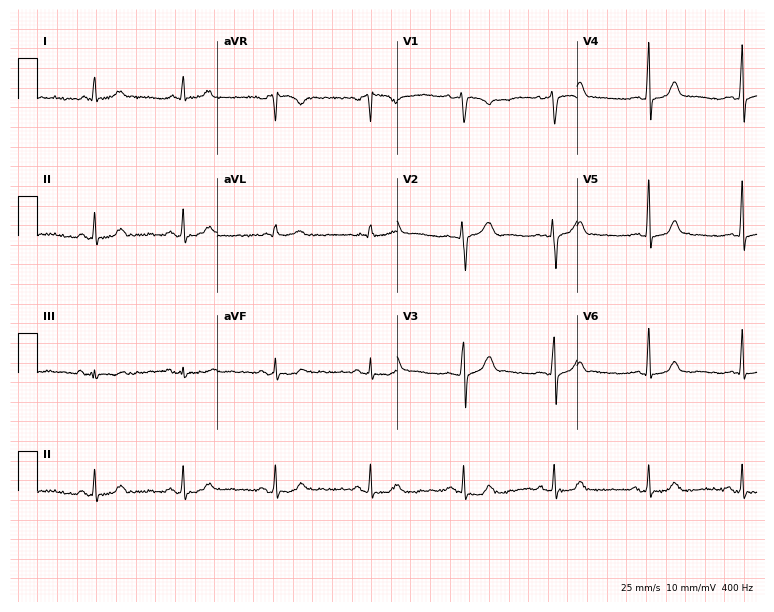
ECG — a female patient, 36 years old. Labelled as a normal ECG.